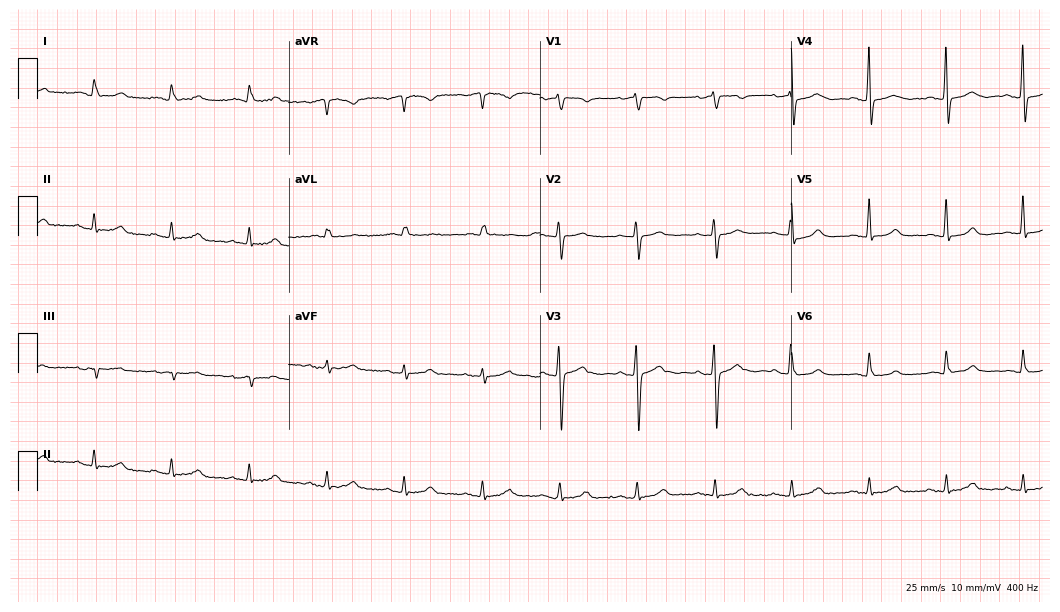
12-lead ECG from a 79-year-old woman. Labelled as a normal ECG.